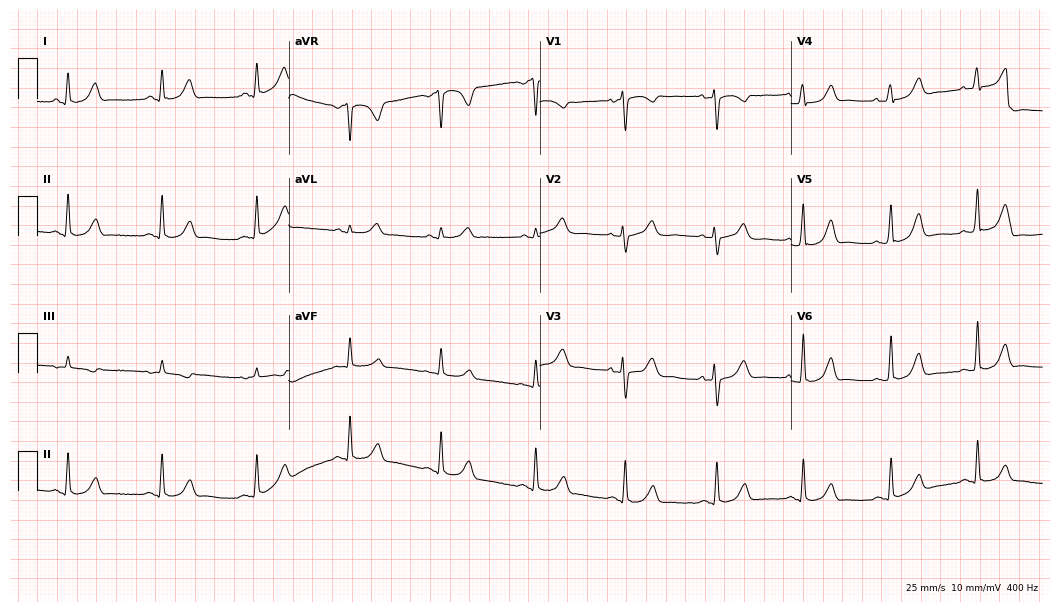
12-lead ECG from a 42-year-old female. Labelled as a normal ECG.